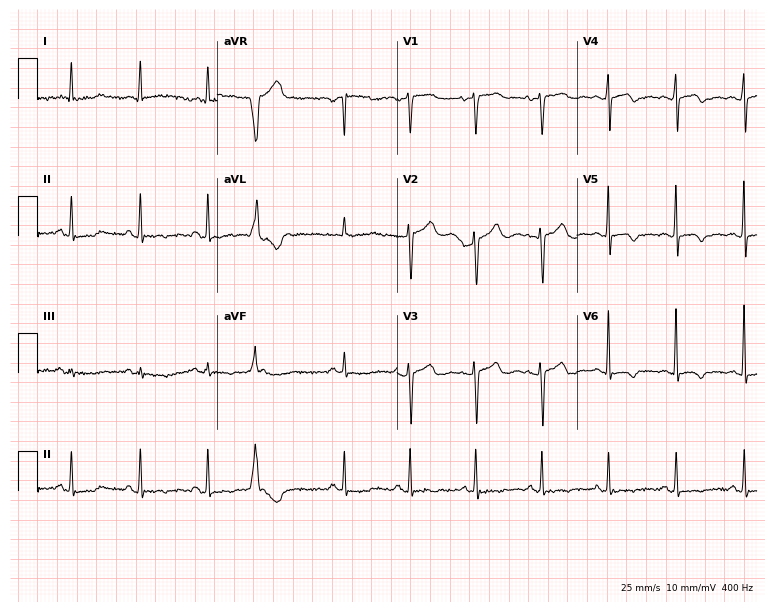
Electrocardiogram (7.3-second recording at 400 Hz), a 71-year-old female patient. Of the six screened findings (first-degree AV block, right bundle branch block, left bundle branch block, sinus bradycardia, atrial fibrillation, sinus tachycardia), none is recorded.